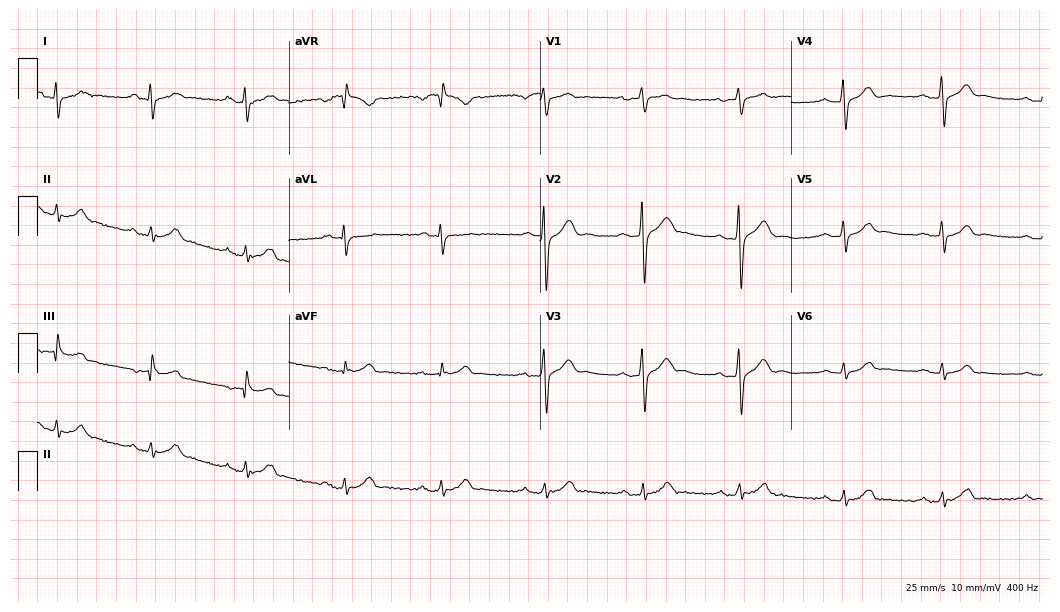
Electrocardiogram, a male patient, 39 years old. Overall reading on record: normal ECG.